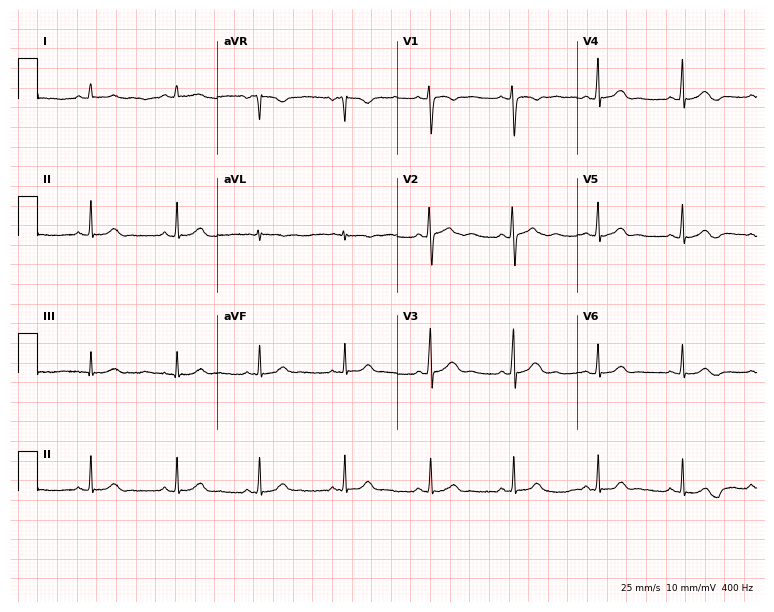
Resting 12-lead electrocardiogram (7.3-second recording at 400 Hz). Patient: a female, 33 years old. Read as a normal ECG.